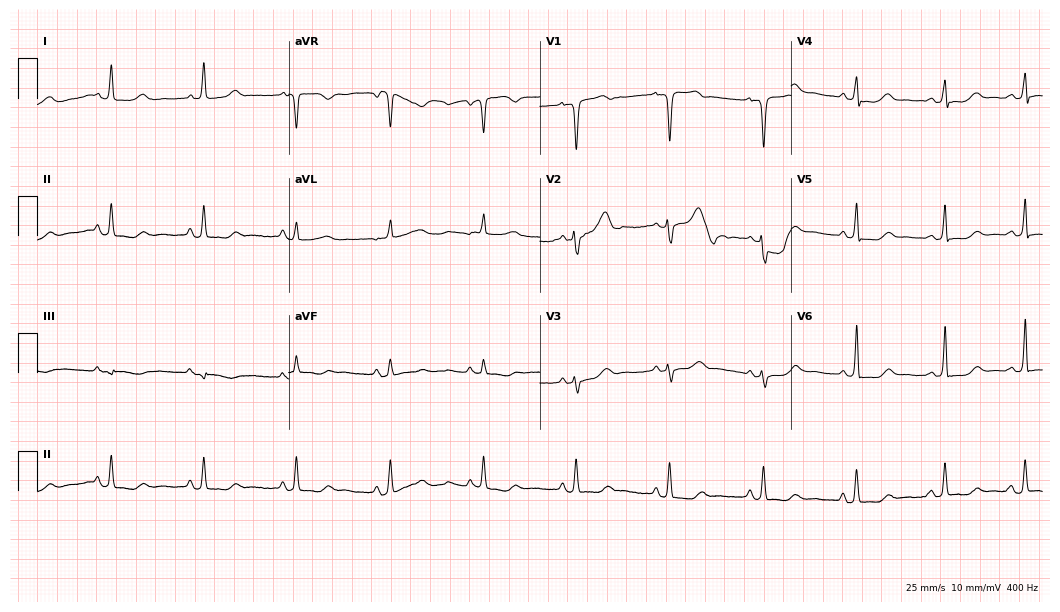
Electrocardiogram, a female, 54 years old. Overall reading on record: normal ECG.